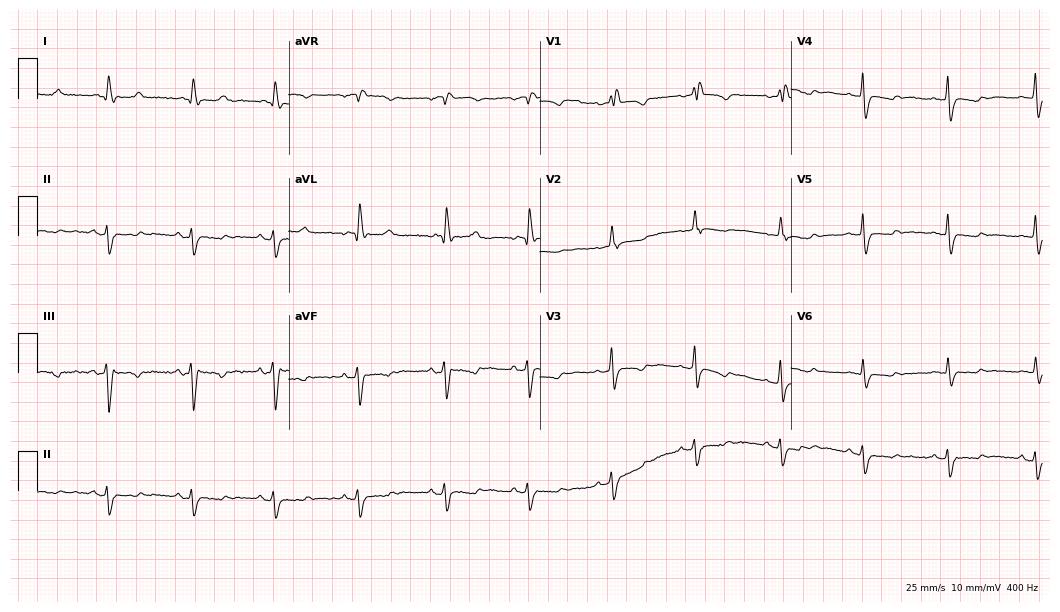
ECG — a female patient, 80 years old. Screened for six findings — first-degree AV block, right bundle branch block, left bundle branch block, sinus bradycardia, atrial fibrillation, sinus tachycardia — none is recorded.